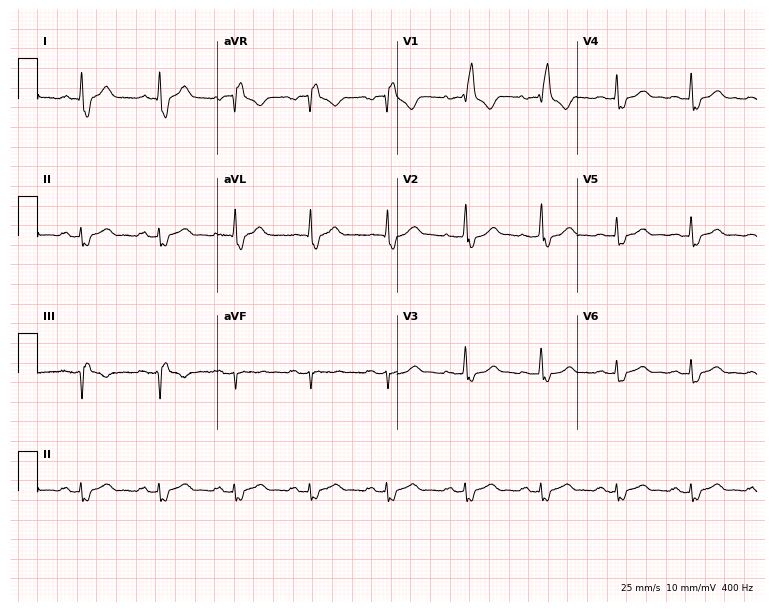
12-lead ECG from a 46-year-old male patient. Findings include right bundle branch block (RBBB).